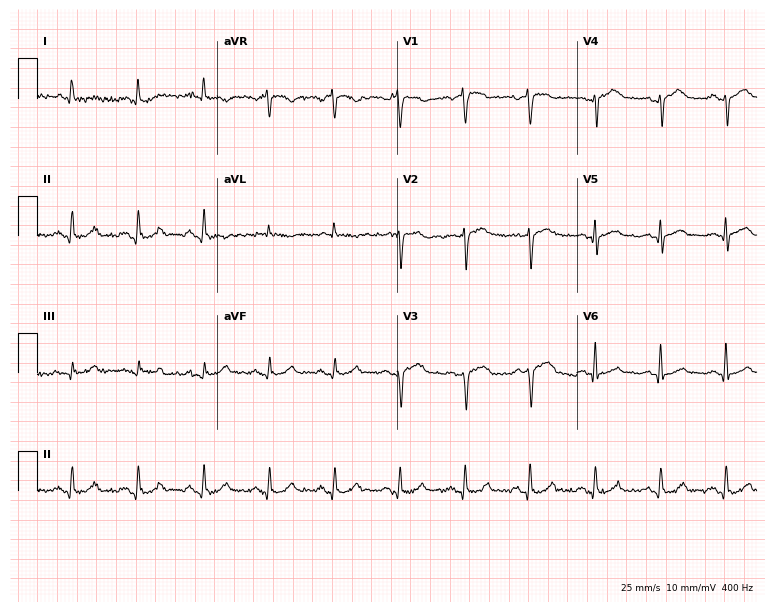
ECG — a male, 72 years old. Screened for six findings — first-degree AV block, right bundle branch block, left bundle branch block, sinus bradycardia, atrial fibrillation, sinus tachycardia — none is recorded. Other findings, if any, are not listed.